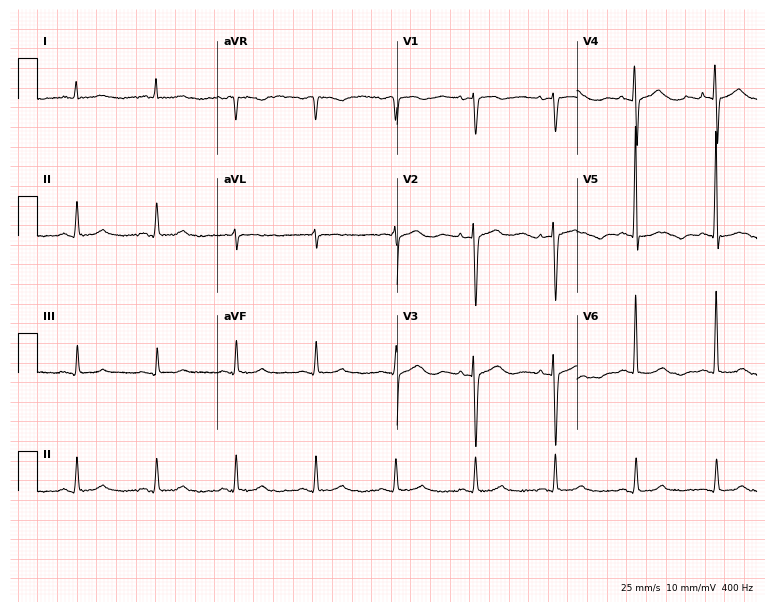
Resting 12-lead electrocardiogram. Patient: an 83-year-old man. Read as a normal ECG.